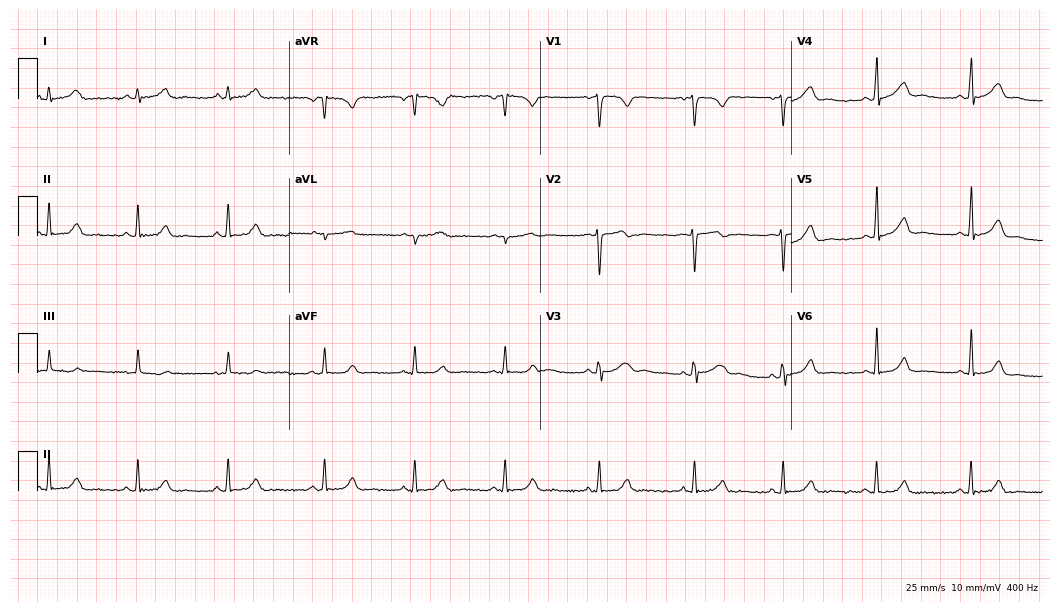
Electrocardiogram, a 17-year-old female patient. Of the six screened findings (first-degree AV block, right bundle branch block (RBBB), left bundle branch block (LBBB), sinus bradycardia, atrial fibrillation (AF), sinus tachycardia), none is recorded.